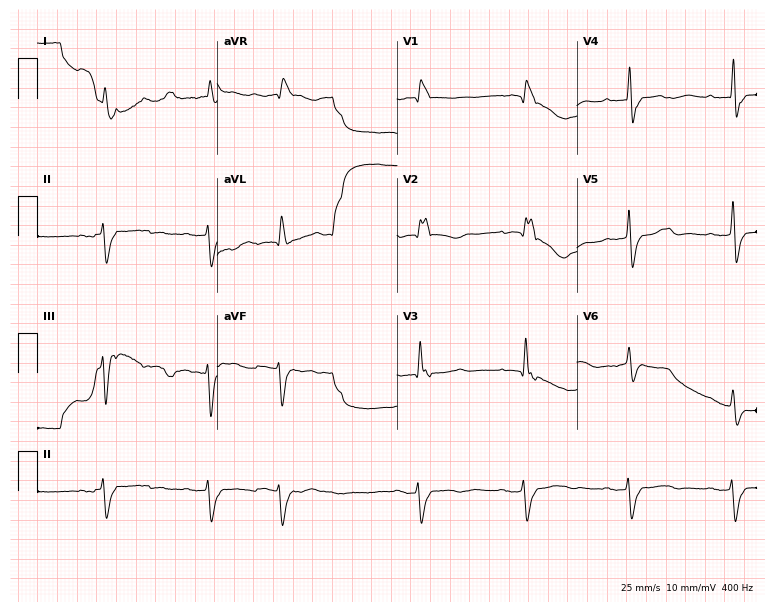
Resting 12-lead electrocardiogram. Patient: a female, 82 years old. None of these six findings is recorded: first-degree AV block, right bundle branch block, left bundle branch block, sinus bradycardia, atrial fibrillation, sinus tachycardia.